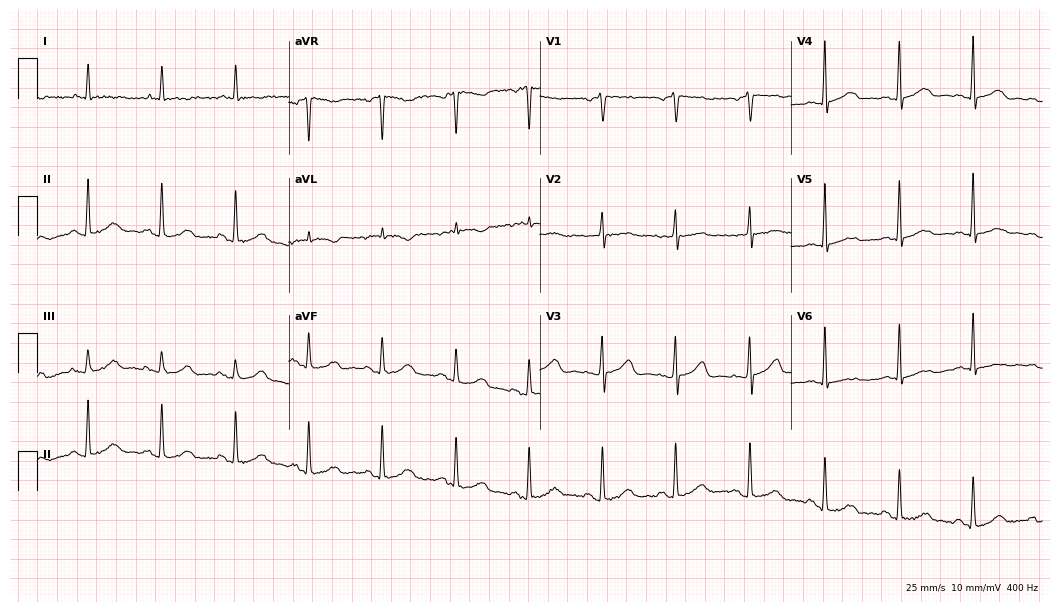
12-lead ECG from a woman, 85 years old. Labelled as a normal ECG.